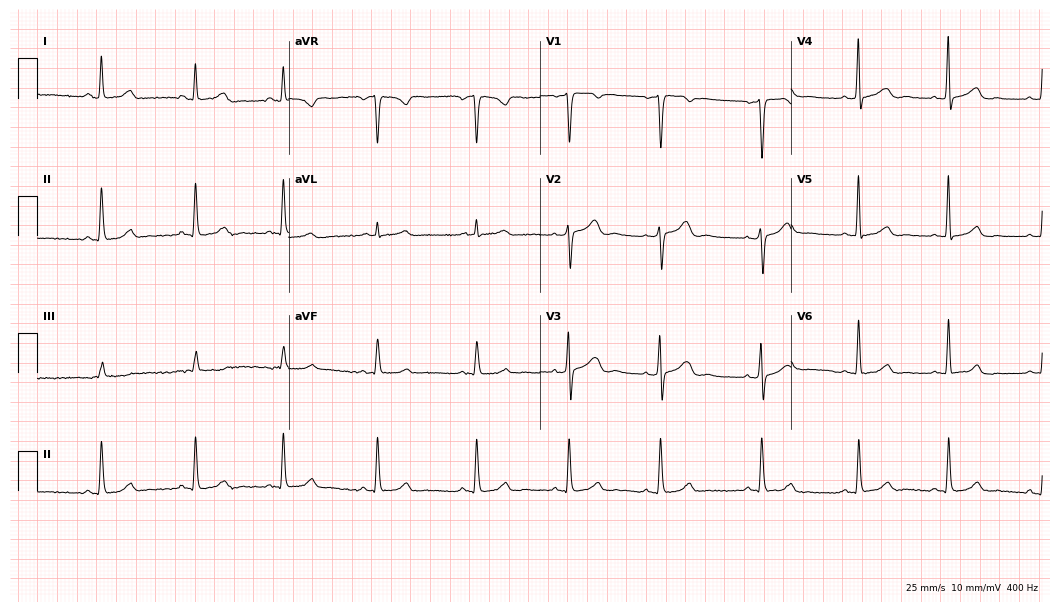
12-lead ECG (10.2-second recording at 400 Hz) from a female patient, 38 years old. Labelled as a normal ECG.